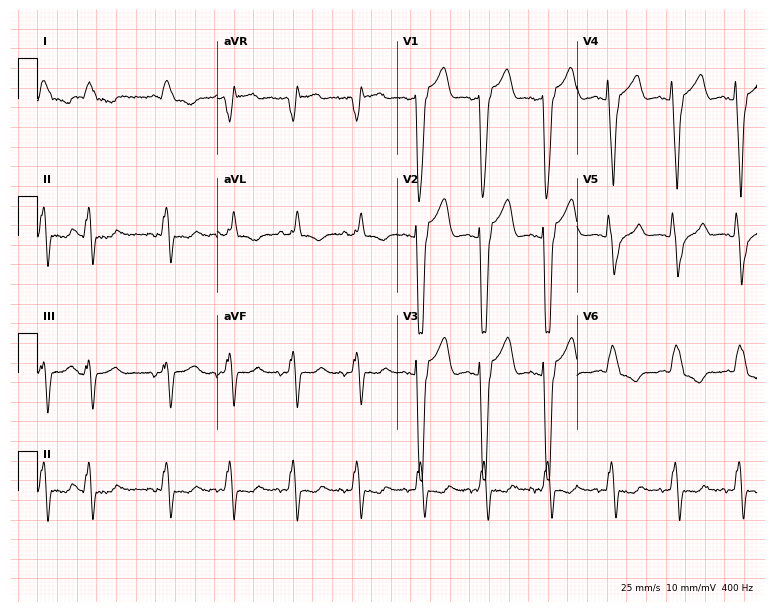
Resting 12-lead electrocardiogram. Patient: an 82-year-old male. The tracing shows left bundle branch block (LBBB).